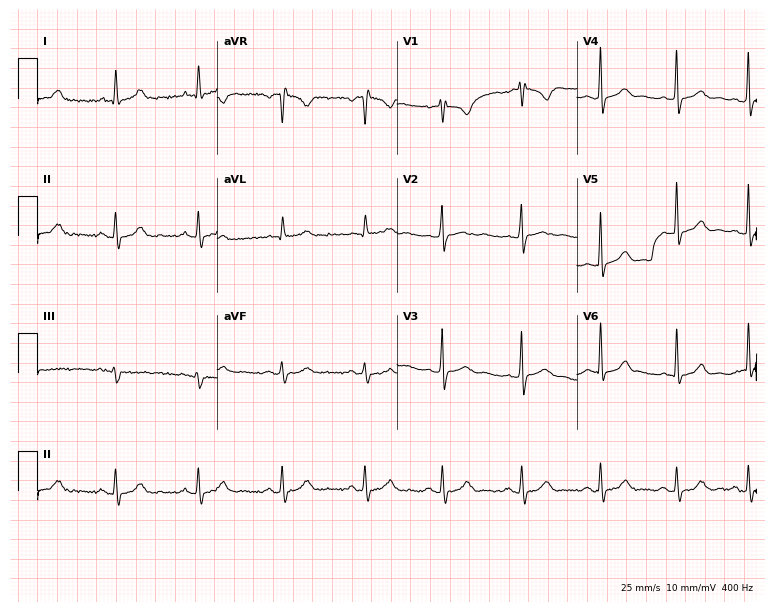
Standard 12-lead ECG recorded from a woman, 33 years old. None of these six findings is recorded: first-degree AV block, right bundle branch block, left bundle branch block, sinus bradycardia, atrial fibrillation, sinus tachycardia.